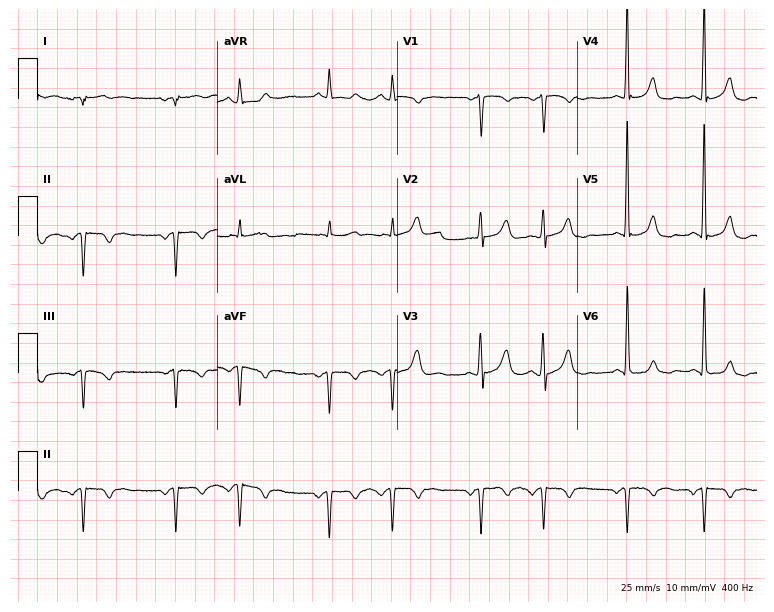
12-lead ECG (7.3-second recording at 400 Hz) from an 84-year-old male patient. Screened for six findings — first-degree AV block, right bundle branch block, left bundle branch block, sinus bradycardia, atrial fibrillation, sinus tachycardia — none is recorded.